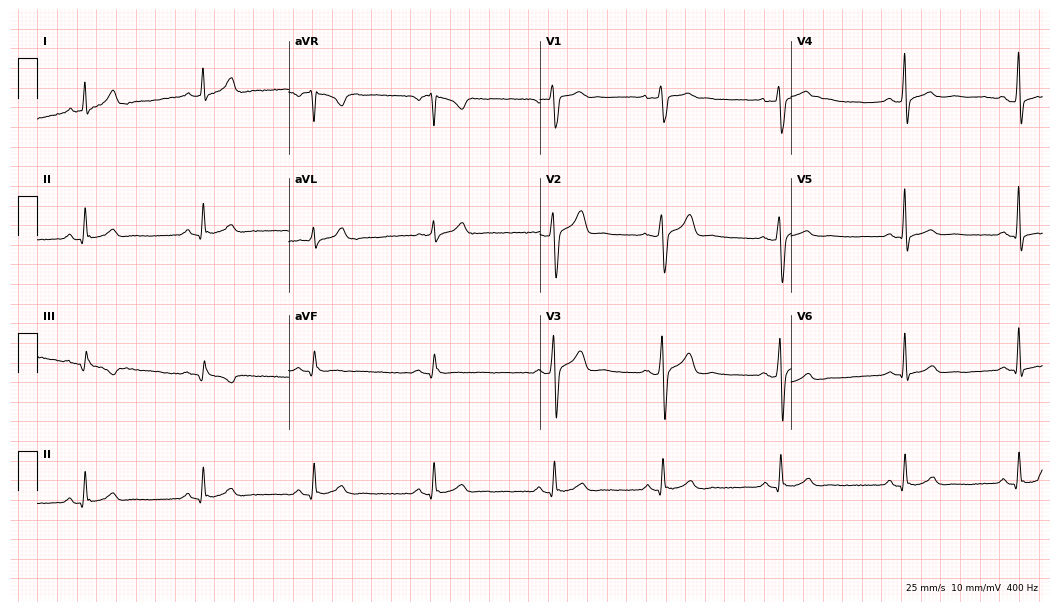
ECG — a 40-year-old female. Screened for six findings — first-degree AV block, right bundle branch block, left bundle branch block, sinus bradycardia, atrial fibrillation, sinus tachycardia — none is recorded.